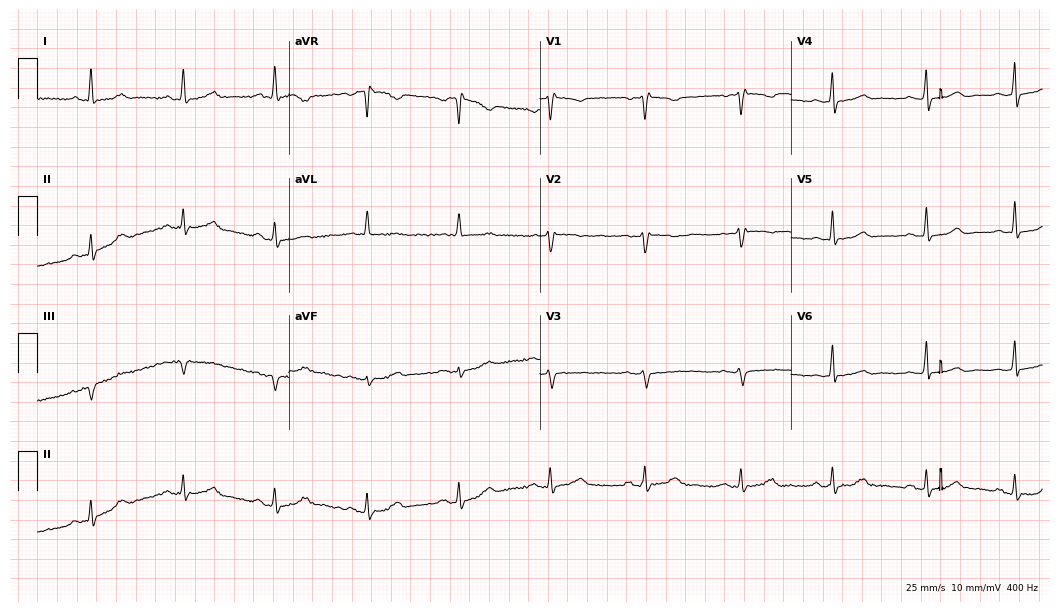
Standard 12-lead ECG recorded from a female, 36 years old (10.2-second recording at 400 Hz). None of these six findings is recorded: first-degree AV block, right bundle branch block, left bundle branch block, sinus bradycardia, atrial fibrillation, sinus tachycardia.